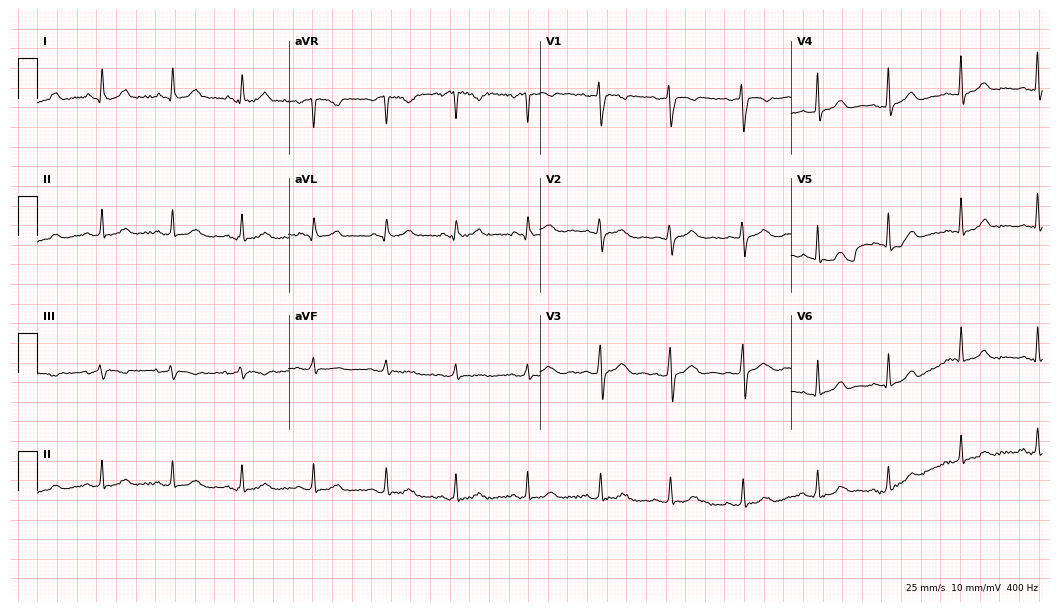
ECG (10.2-second recording at 400 Hz) — a 38-year-old female. Screened for six findings — first-degree AV block, right bundle branch block, left bundle branch block, sinus bradycardia, atrial fibrillation, sinus tachycardia — none is recorded. Other findings, if any, are not listed.